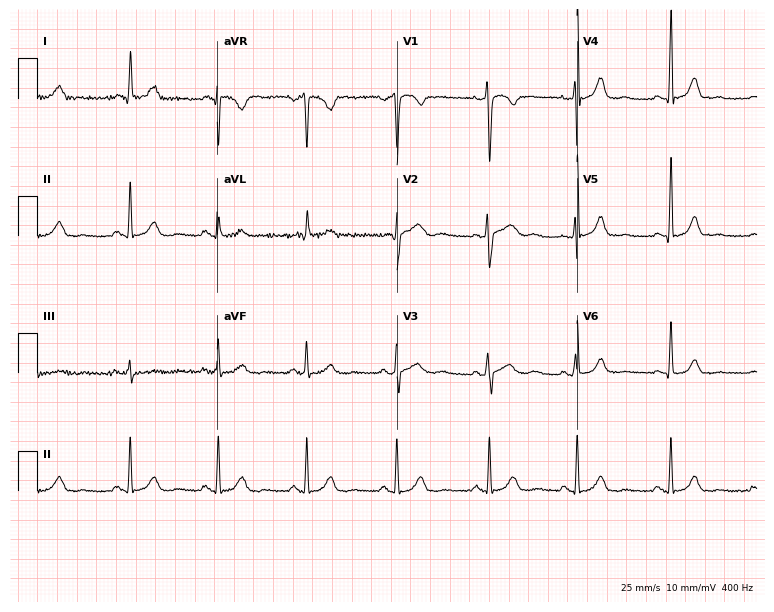
Resting 12-lead electrocardiogram (7.3-second recording at 400 Hz). Patient: a 47-year-old woman. None of these six findings is recorded: first-degree AV block, right bundle branch block, left bundle branch block, sinus bradycardia, atrial fibrillation, sinus tachycardia. Findings outside these six are not listed.